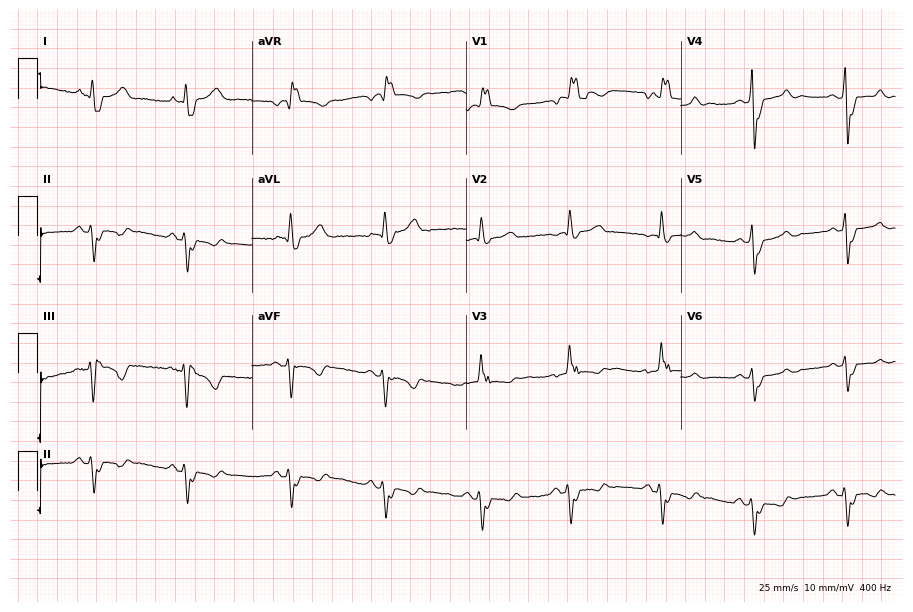
12-lead ECG from a 50-year-old woman. Findings include right bundle branch block.